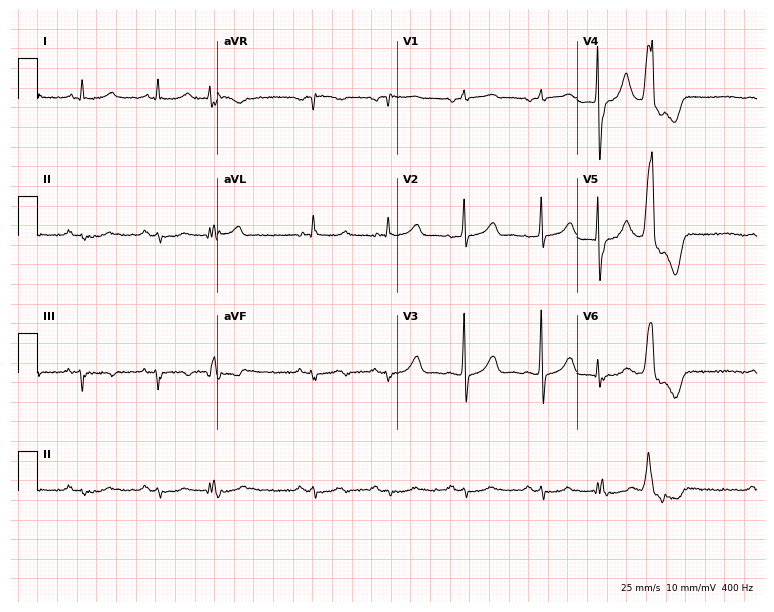
12-lead ECG from a 79-year-old male. Screened for six findings — first-degree AV block, right bundle branch block, left bundle branch block, sinus bradycardia, atrial fibrillation, sinus tachycardia — none is recorded.